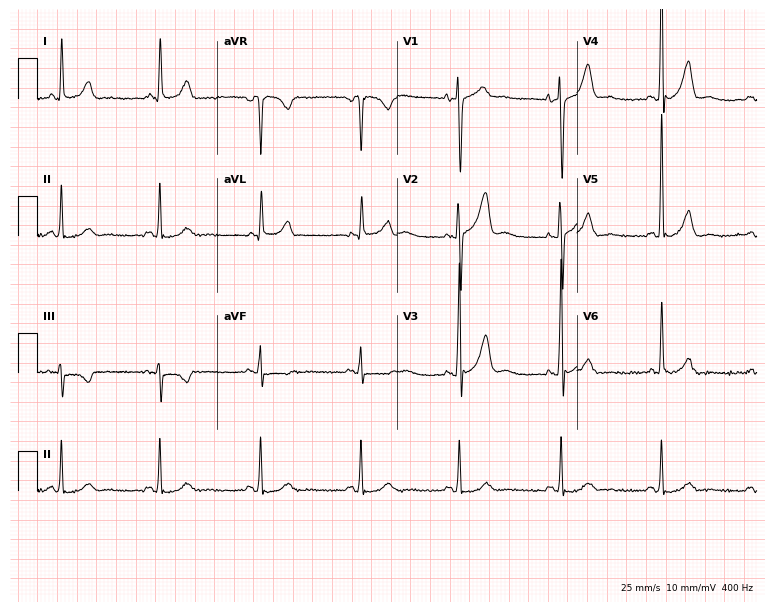
12-lead ECG from a 56-year-old male (7.3-second recording at 400 Hz). No first-degree AV block, right bundle branch block, left bundle branch block, sinus bradycardia, atrial fibrillation or sinus tachycardia recorded for this tracing.